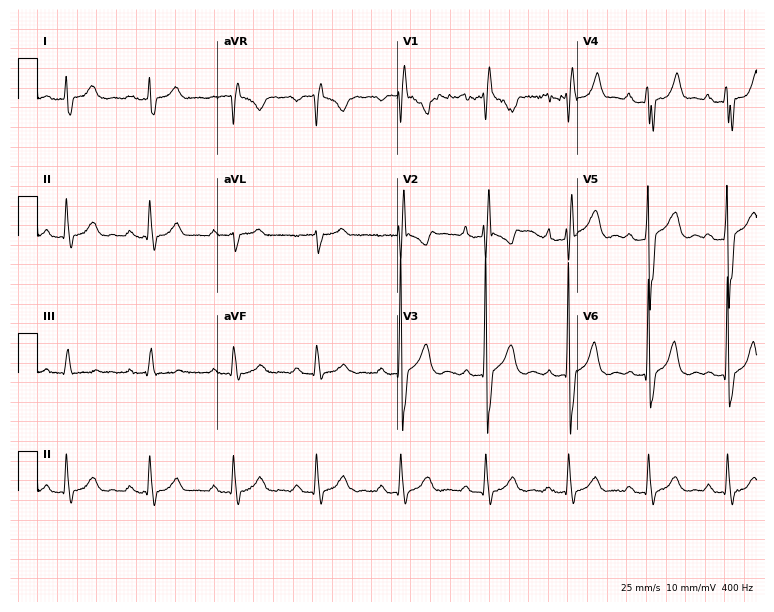
12-lead ECG from a 37-year-old male patient. Findings include first-degree AV block, right bundle branch block.